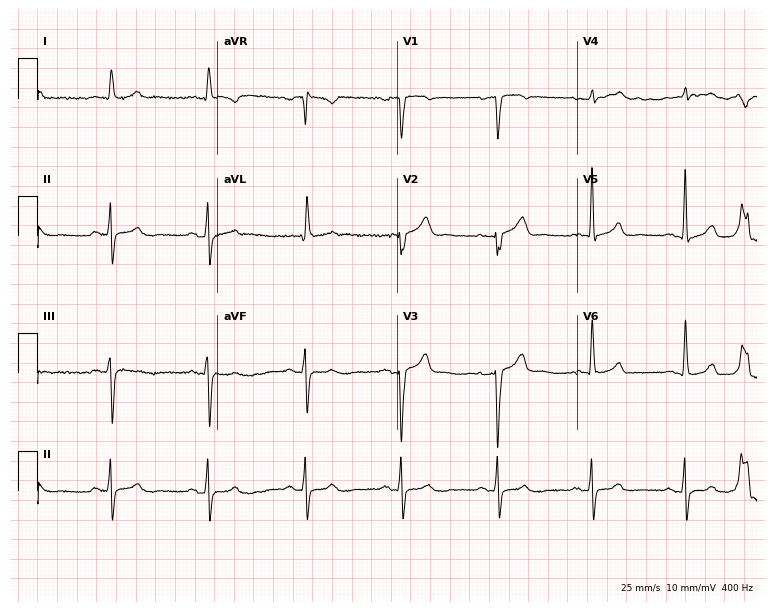
Standard 12-lead ECG recorded from a 66-year-old man. Read as a normal ECG.